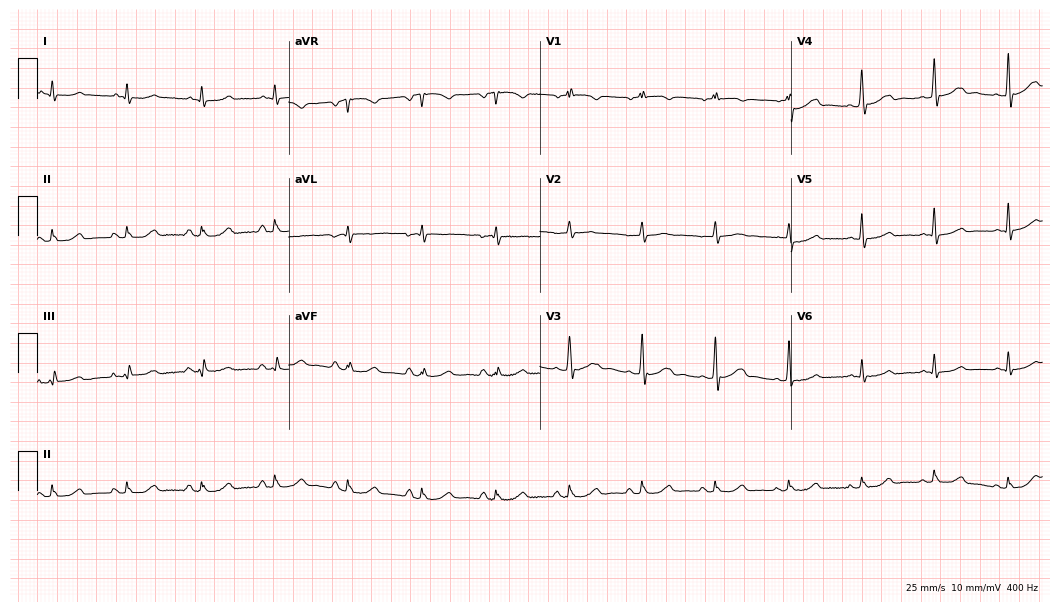
12-lead ECG from a man, 73 years old. Screened for six findings — first-degree AV block, right bundle branch block (RBBB), left bundle branch block (LBBB), sinus bradycardia, atrial fibrillation (AF), sinus tachycardia — none is recorded.